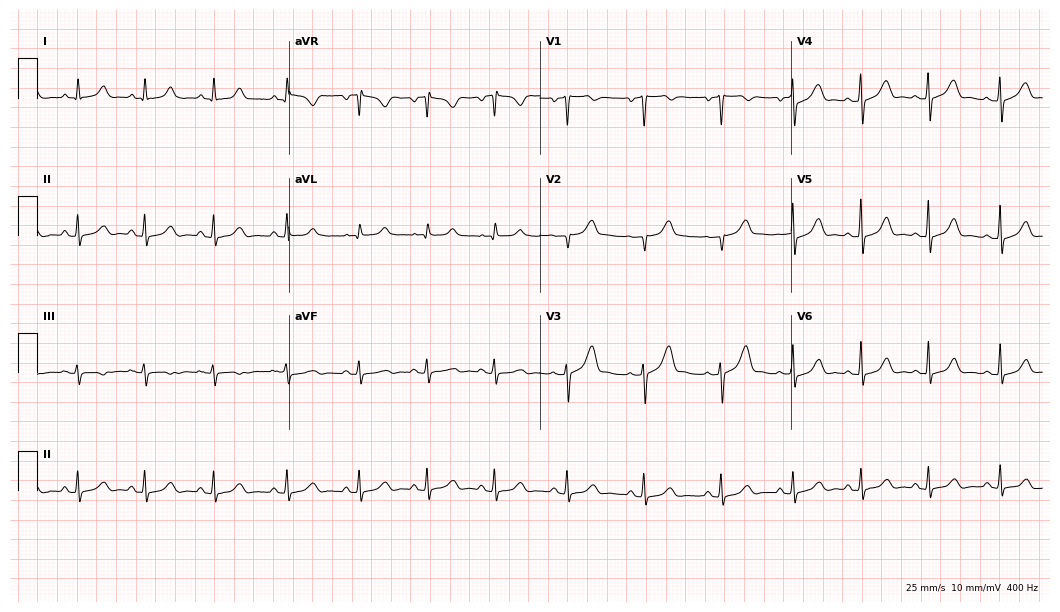
12-lead ECG from a 32-year-old female patient (10.2-second recording at 400 Hz). Recorded interpretation: within normal limits.